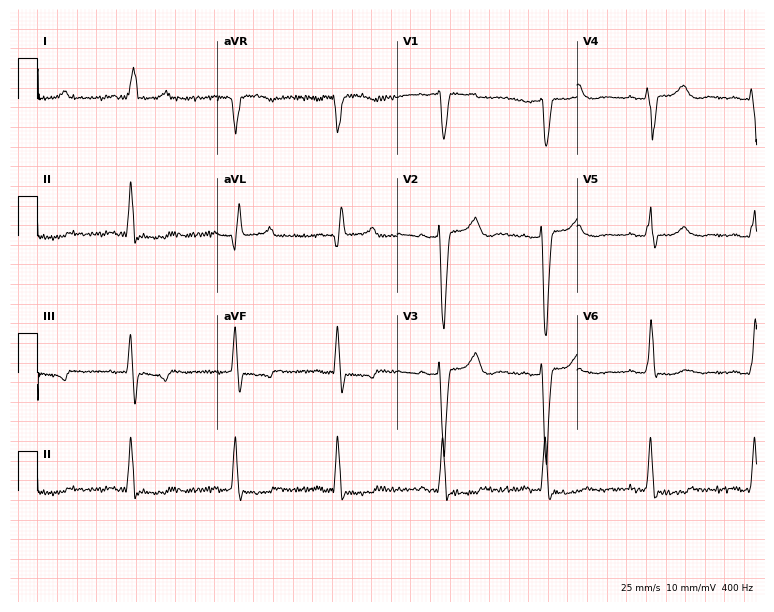
Resting 12-lead electrocardiogram (7.3-second recording at 400 Hz). Patient: a female, 70 years old. None of these six findings is recorded: first-degree AV block, right bundle branch block, left bundle branch block, sinus bradycardia, atrial fibrillation, sinus tachycardia.